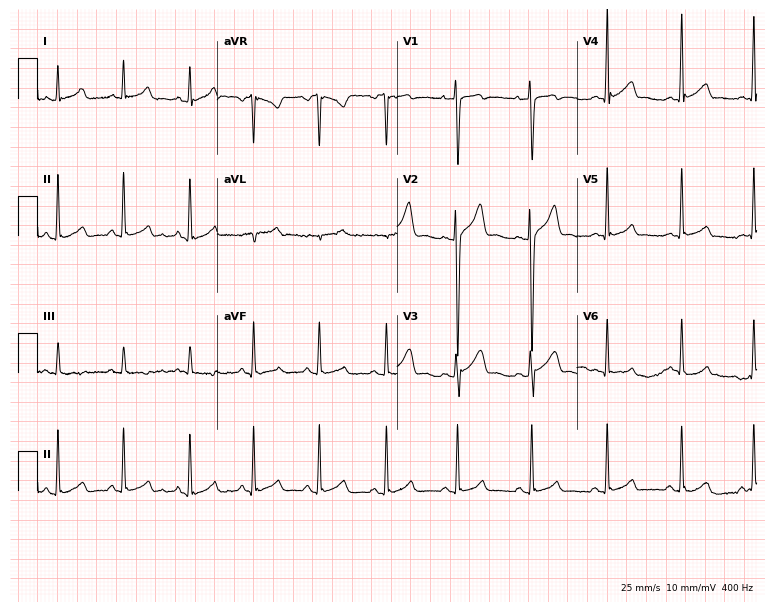
Electrocardiogram (7.3-second recording at 400 Hz), a man, 24 years old. Of the six screened findings (first-degree AV block, right bundle branch block, left bundle branch block, sinus bradycardia, atrial fibrillation, sinus tachycardia), none is recorded.